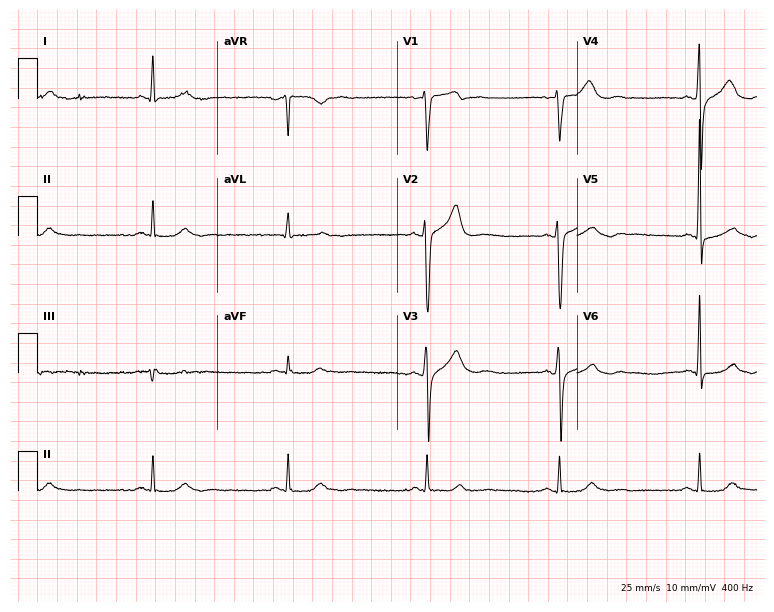
Standard 12-lead ECG recorded from a male patient, 52 years old. None of these six findings is recorded: first-degree AV block, right bundle branch block, left bundle branch block, sinus bradycardia, atrial fibrillation, sinus tachycardia. Findings outside these six are not listed.